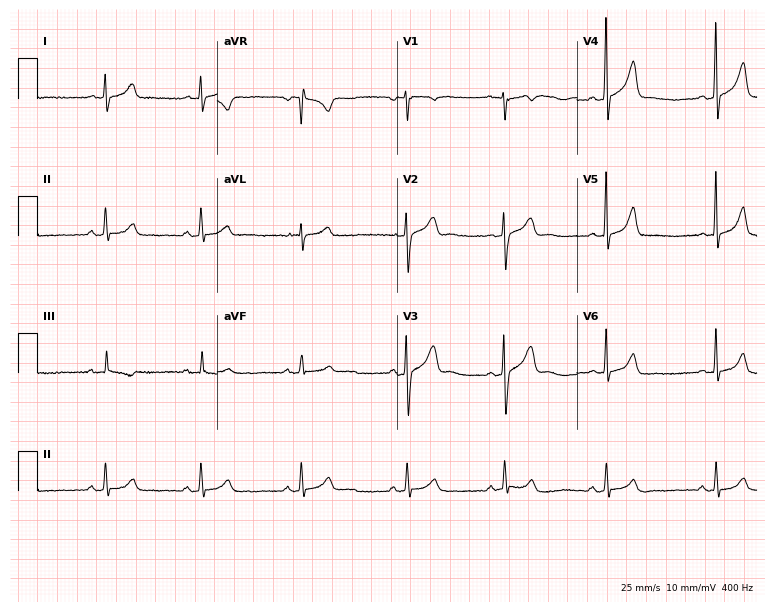
Standard 12-lead ECG recorded from an 18-year-old male patient. Read as a normal ECG.